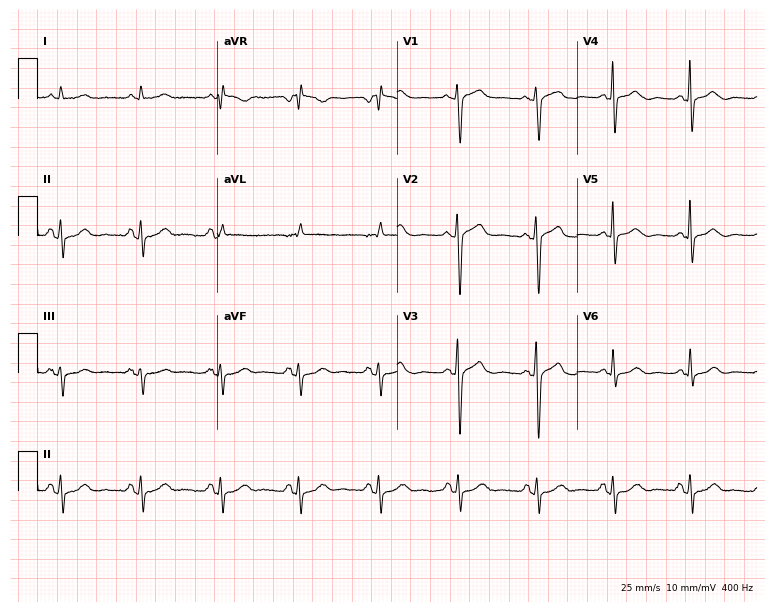
Resting 12-lead electrocardiogram (7.3-second recording at 400 Hz). Patient: a woman, 81 years old. None of these six findings is recorded: first-degree AV block, right bundle branch block (RBBB), left bundle branch block (LBBB), sinus bradycardia, atrial fibrillation (AF), sinus tachycardia. Only these six findings were labelled.